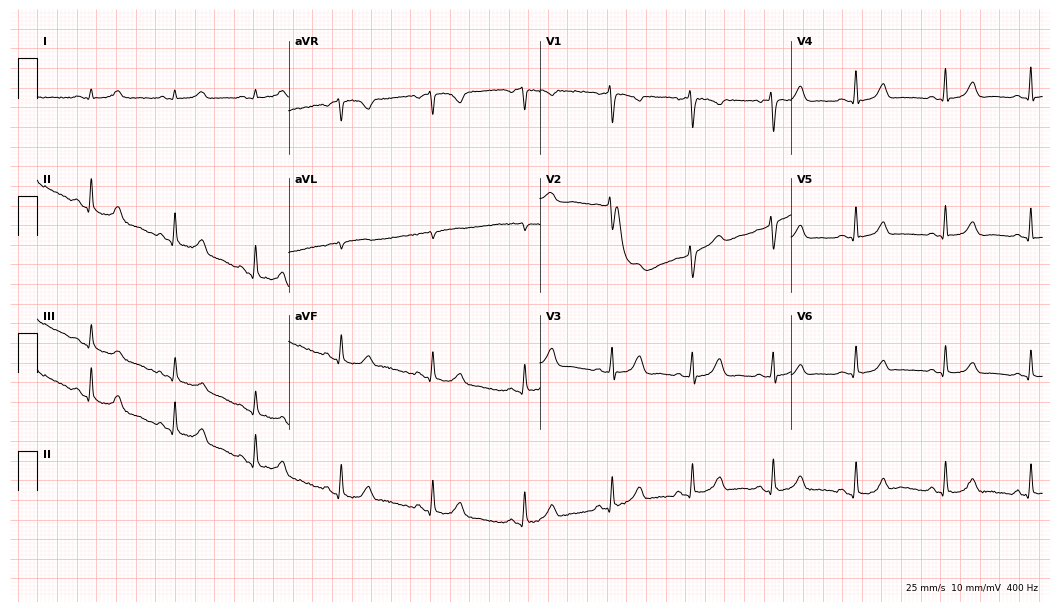
12-lead ECG from a female patient, 39 years old. Labelled as a normal ECG.